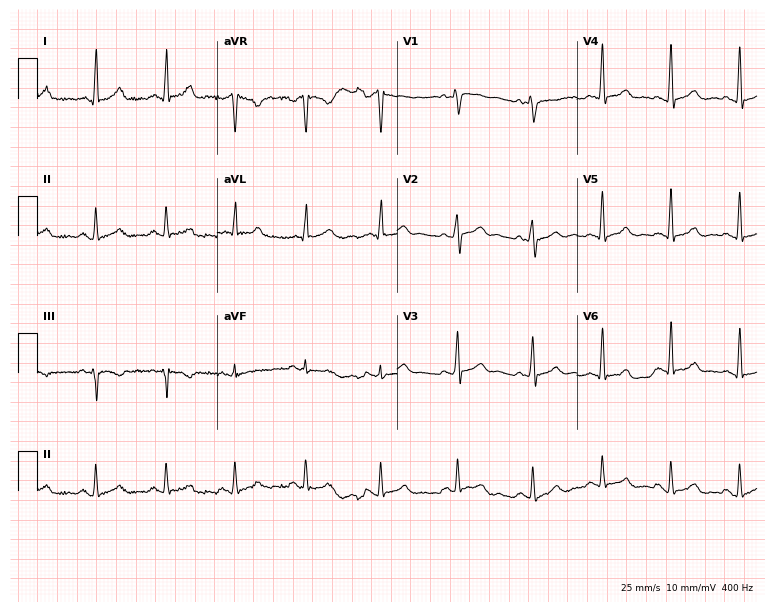
Electrocardiogram, a 36-year-old male. Overall reading on record: normal ECG.